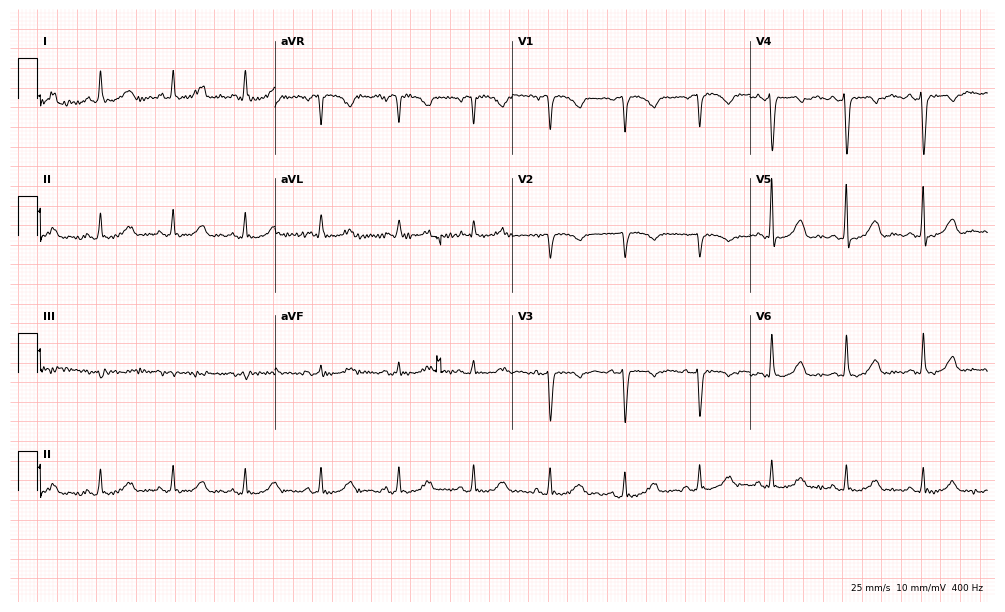
Standard 12-lead ECG recorded from a woman, 41 years old (9.7-second recording at 400 Hz). Read as a normal ECG.